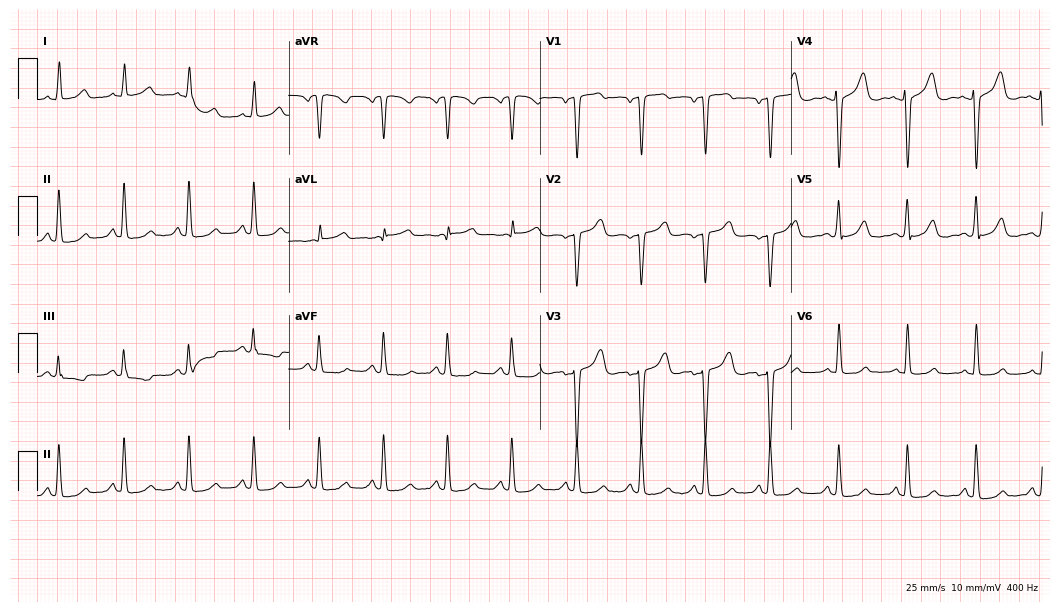
12-lead ECG (10.2-second recording at 400 Hz) from a 58-year-old woman. Screened for six findings — first-degree AV block, right bundle branch block, left bundle branch block, sinus bradycardia, atrial fibrillation, sinus tachycardia — none is recorded.